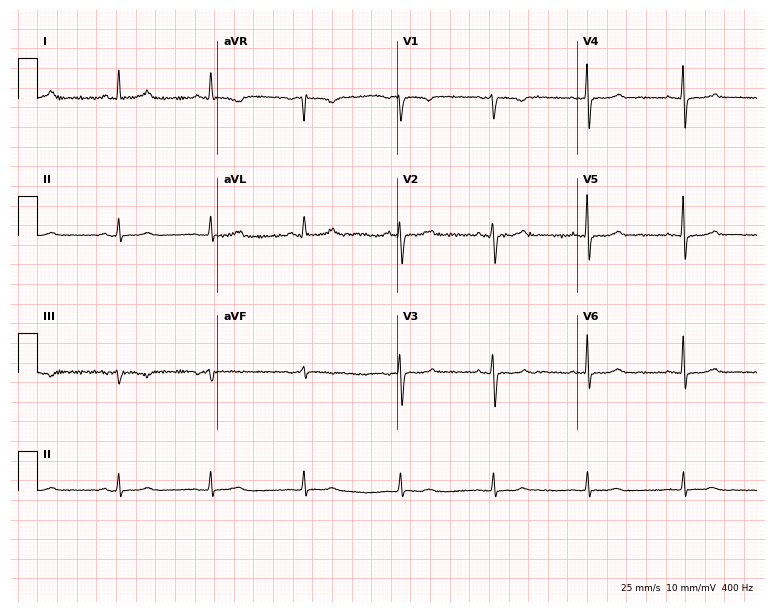
12-lead ECG from a woman, 61 years old (7.3-second recording at 400 Hz). Recorded interpretation: within normal limits.